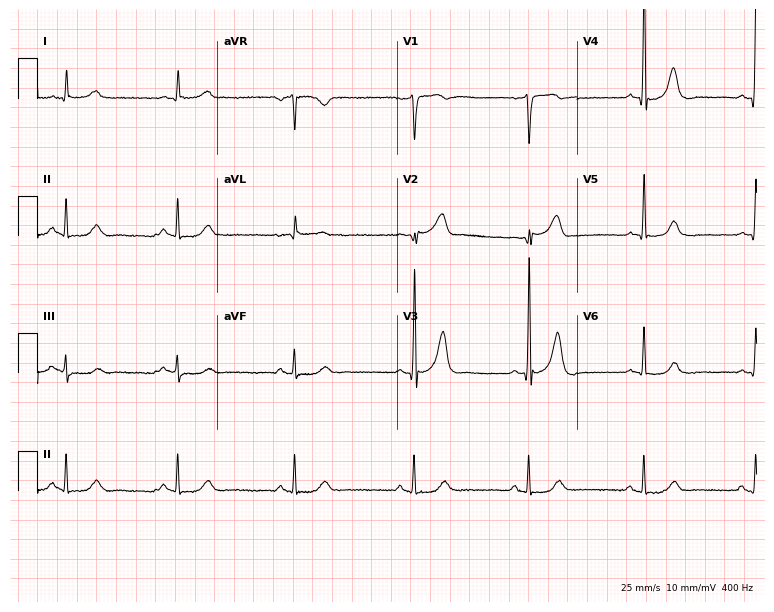
12-lead ECG from a 67-year-old male patient. Screened for six findings — first-degree AV block, right bundle branch block, left bundle branch block, sinus bradycardia, atrial fibrillation, sinus tachycardia — none is recorded. Other findings, if any, are not listed.